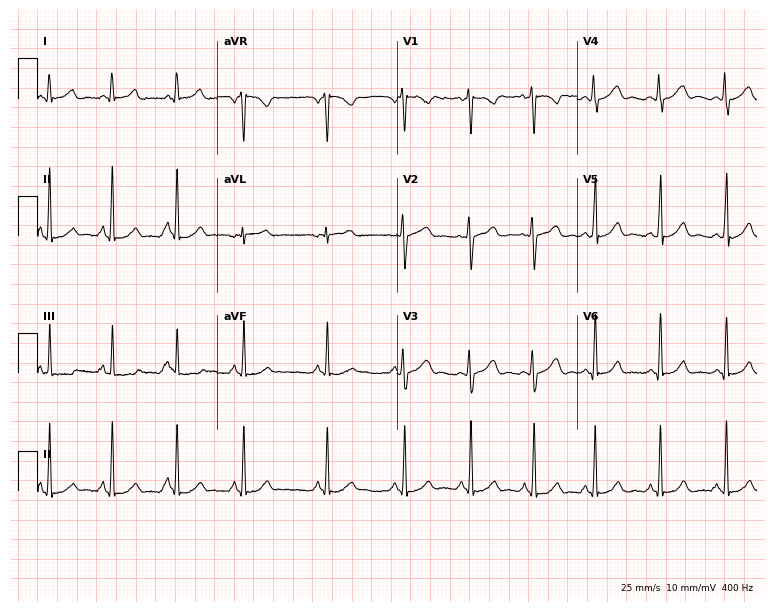
Resting 12-lead electrocardiogram. Patient: a woman, 20 years old. None of these six findings is recorded: first-degree AV block, right bundle branch block, left bundle branch block, sinus bradycardia, atrial fibrillation, sinus tachycardia.